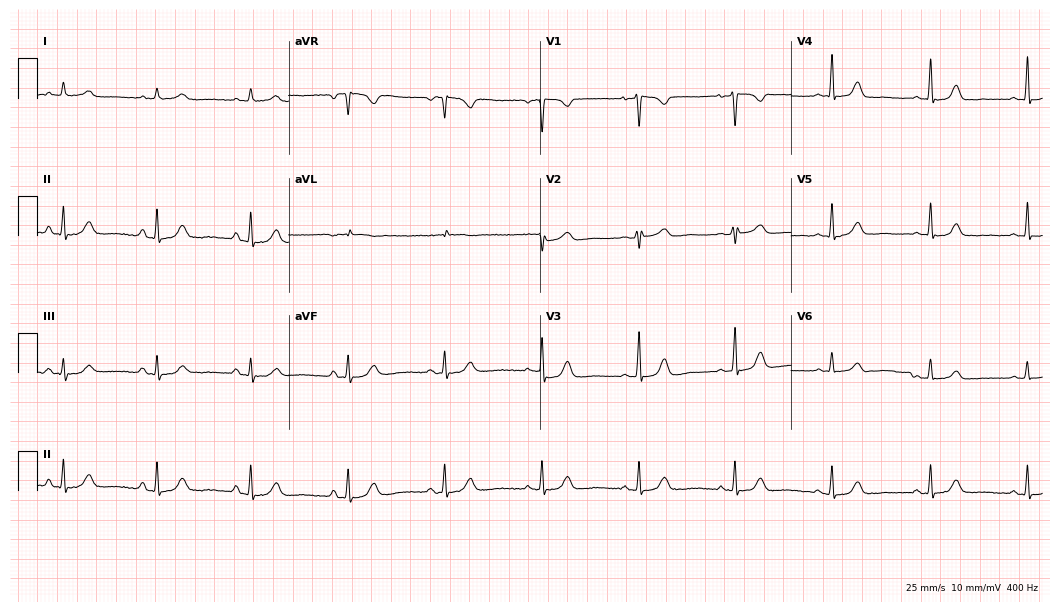
12-lead ECG from a woman, 56 years old (10.2-second recording at 400 Hz). Recorded interpretation: within normal limits.